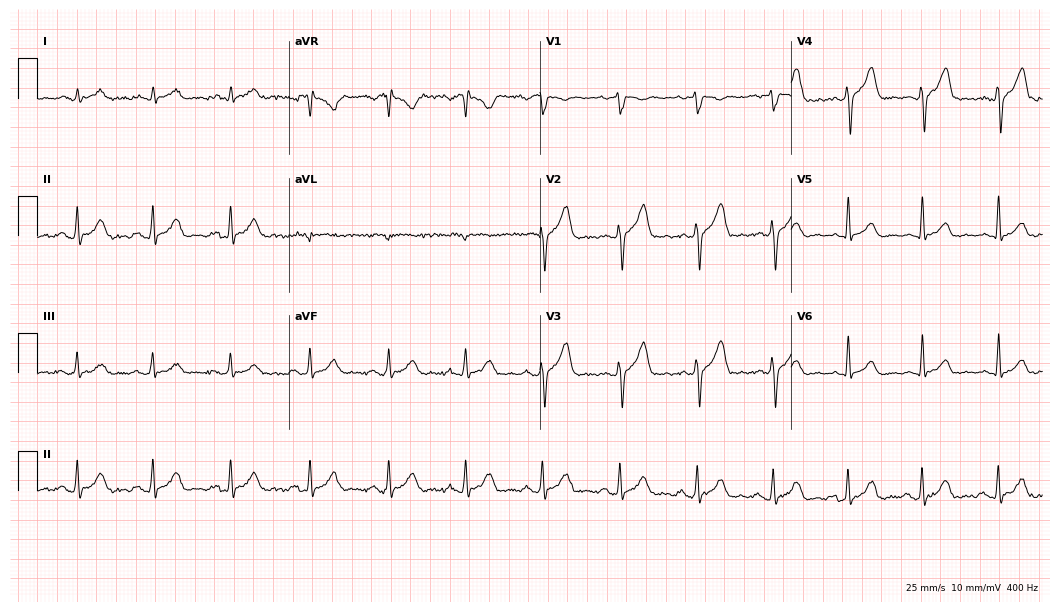
12-lead ECG from a man, 31 years old (10.2-second recording at 400 Hz). Recorded interpretation: within normal limits.